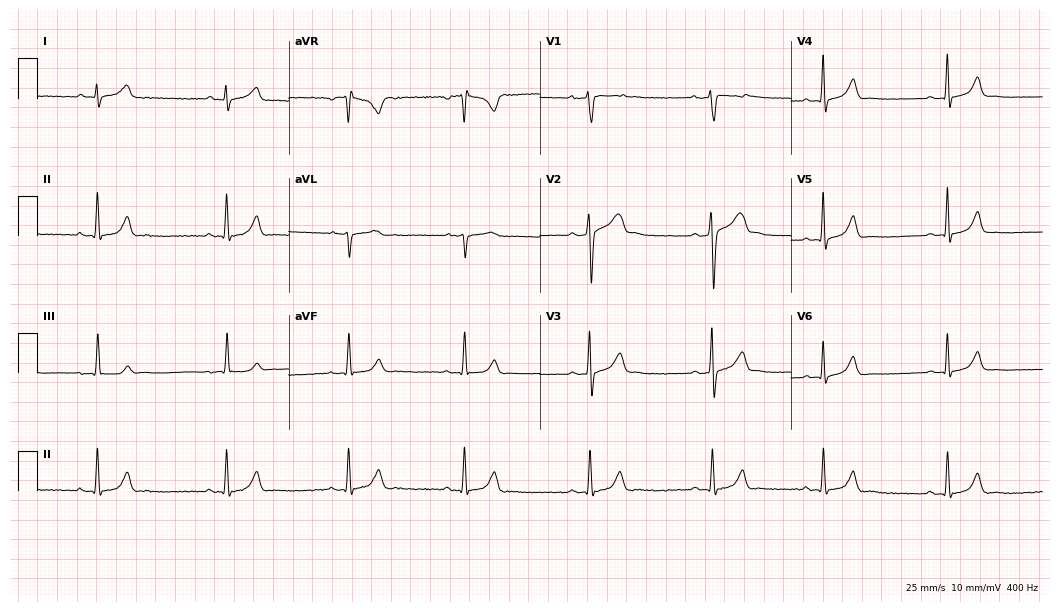
Electrocardiogram, a male patient, 29 years old. Interpretation includes sinus bradycardia (a sinus rate of 50 beats per minute or less).